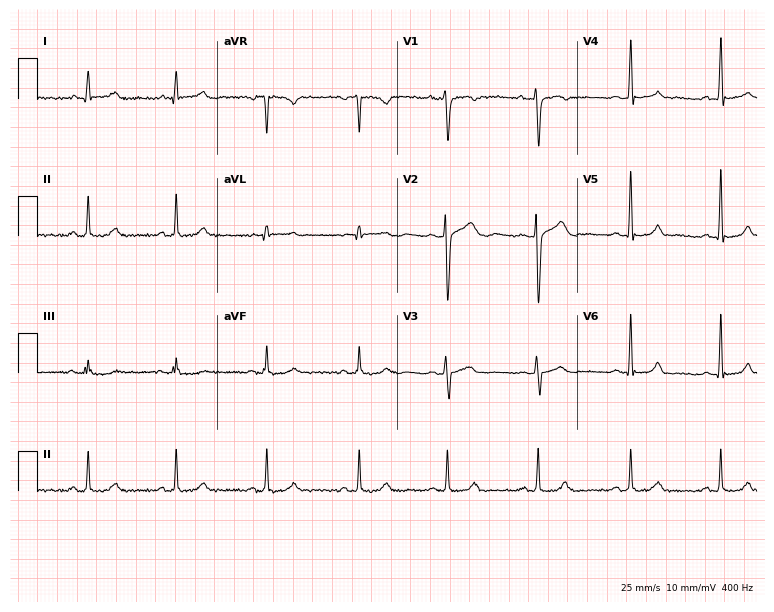
Resting 12-lead electrocardiogram. Patient: a 35-year-old female. Read as a normal ECG.